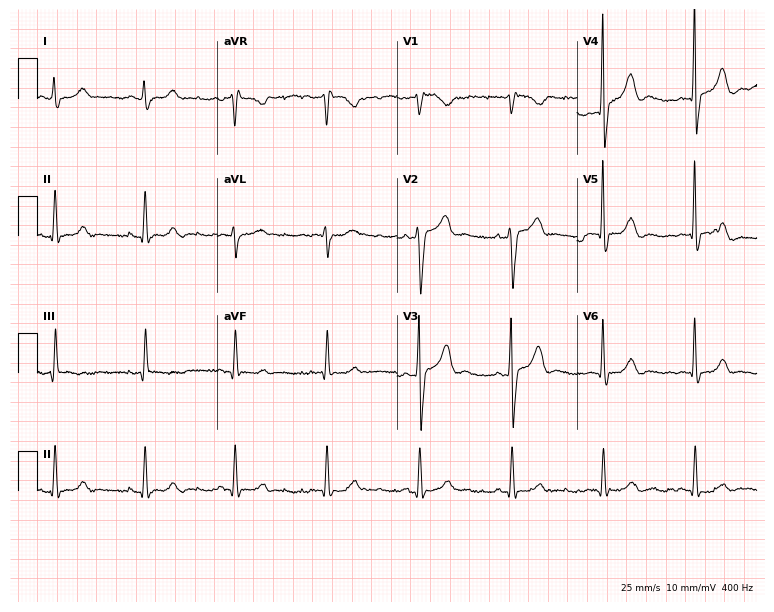
12-lead ECG (7.3-second recording at 400 Hz) from a male, 65 years old. Screened for six findings — first-degree AV block, right bundle branch block, left bundle branch block, sinus bradycardia, atrial fibrillation, sinus tachycardia — none is recorded.